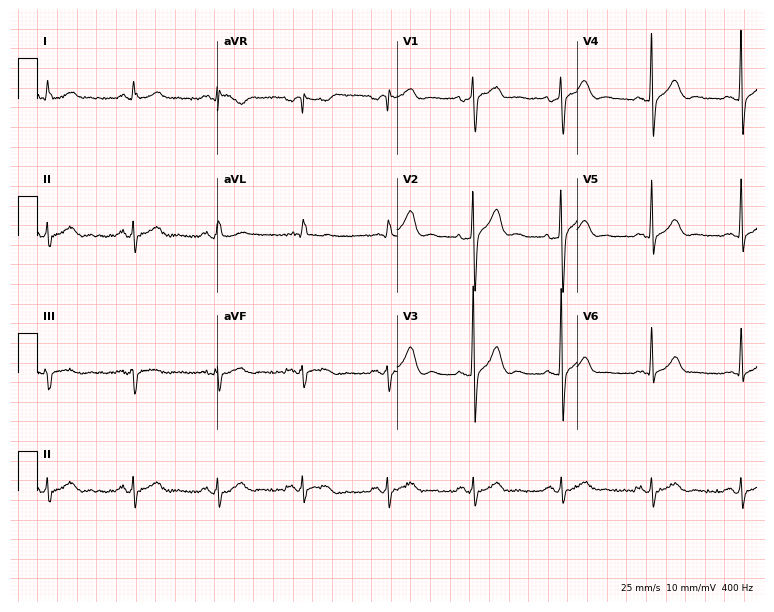
12-lead ECG from a 60-year-old male. Screened for six findings — first-degree AV block, right bundle branch block (RBBB), left bundle branch block (LBBB), sinus bradycardia, atrial fibrillation (AF), sinus tachycardia — none is recorded.